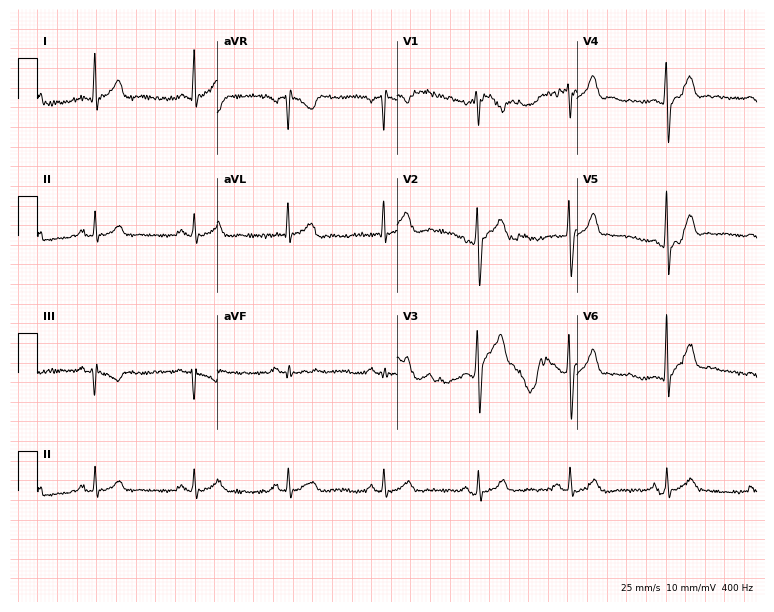
ECG — a man, 37 years old. Labelled as a normal ECG.